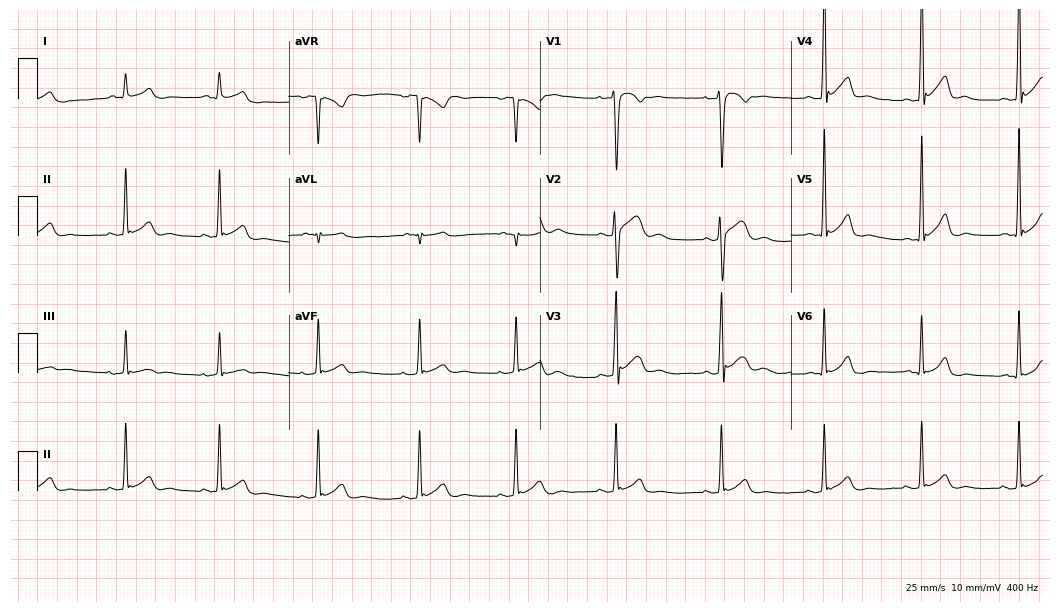
12-lead ECG from a male, 27 years old. Recorded interpretation: within normal limits.